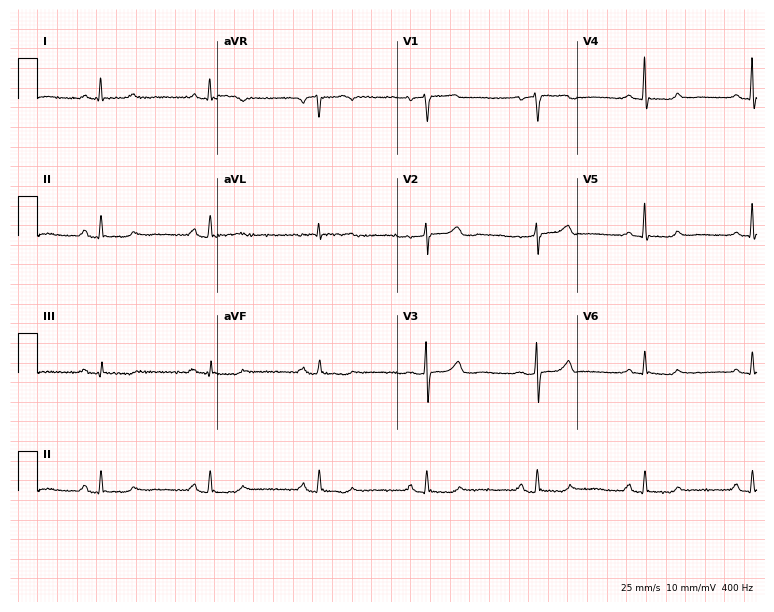
12-lead ECG from a female, 54 years old (7.3-second recording at 400 Hz). Recorded interpretation: within normal limits.